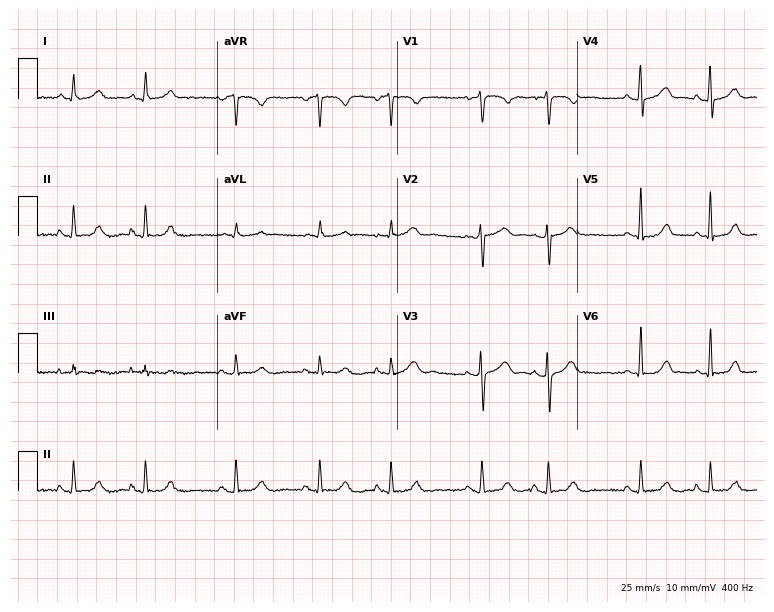
ECG (7.3-second recording at 400 Hz) — a woman, 43 years old. Screened for six findings — first-degree AV block, right bundle branch block (RBBB), left bundle branch block (LBBB), sinus bradycardia, atrial fibrillation (AF), sinus tachycardia — none is recorded.